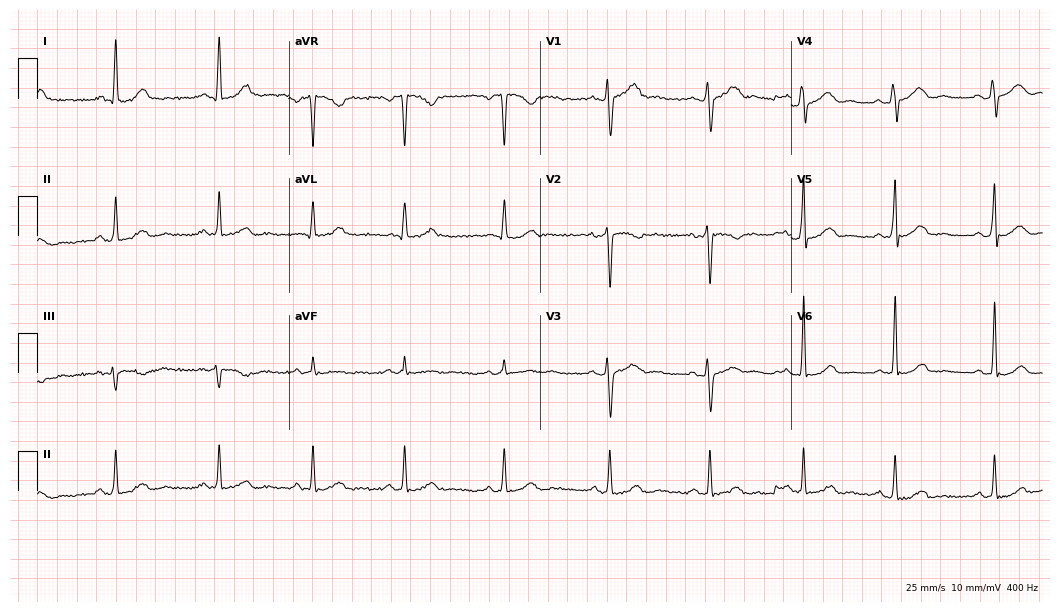
ECG (10.2-second recording at 400 Hz) — a male, 45 years old. Labelled as a normal ECG.